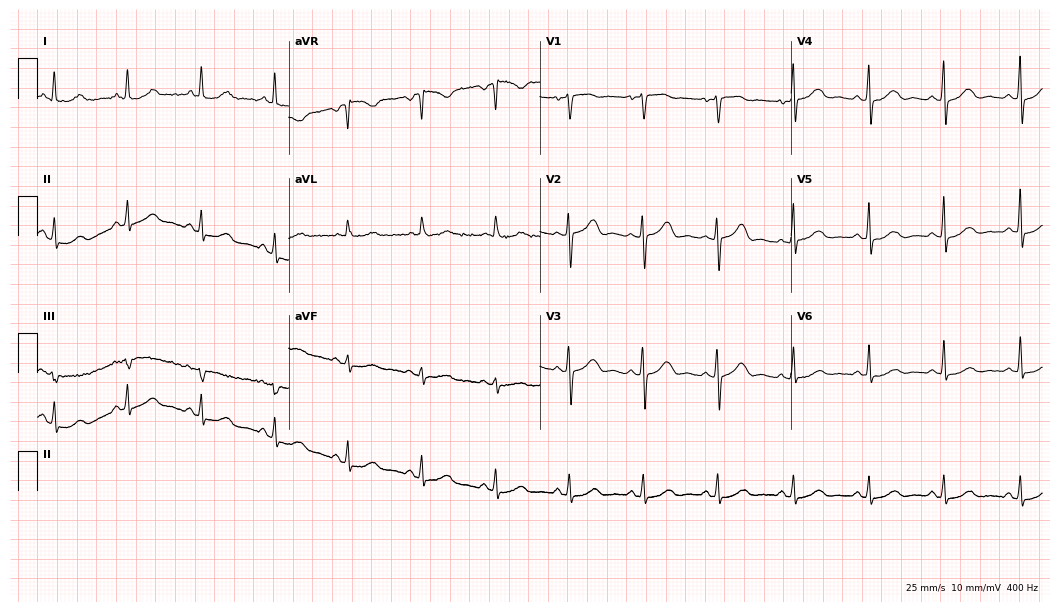
Standard 12-lead ECG recorded from a female, 56 years old (10.2-second recording at 400 Hz). Read as a normal ECG.